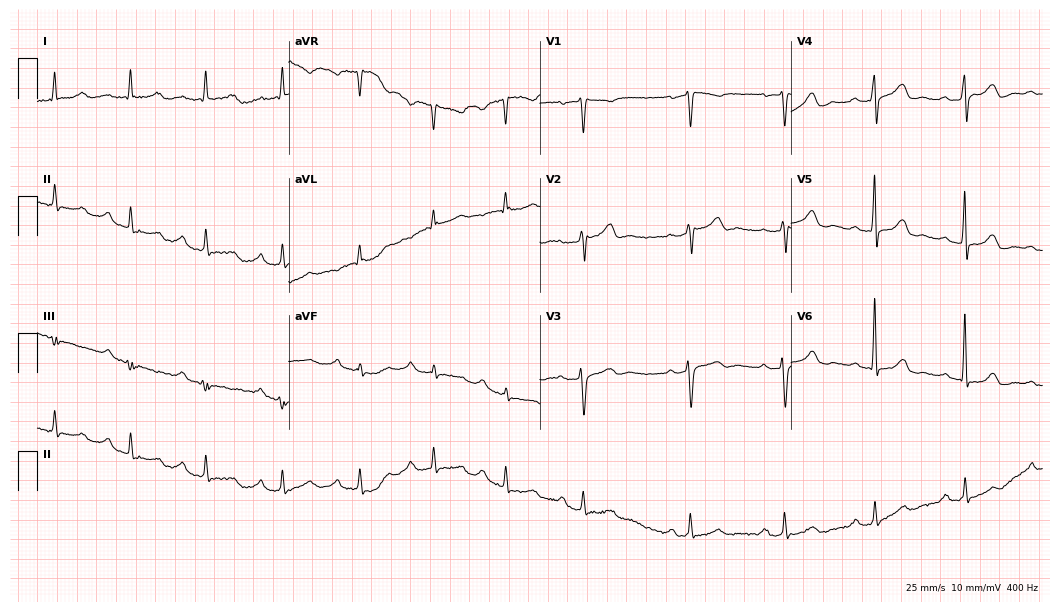
ECG (10.2-second recording at 400 Hz) — a woman, 53 years old. Findings include first-degree AV block.